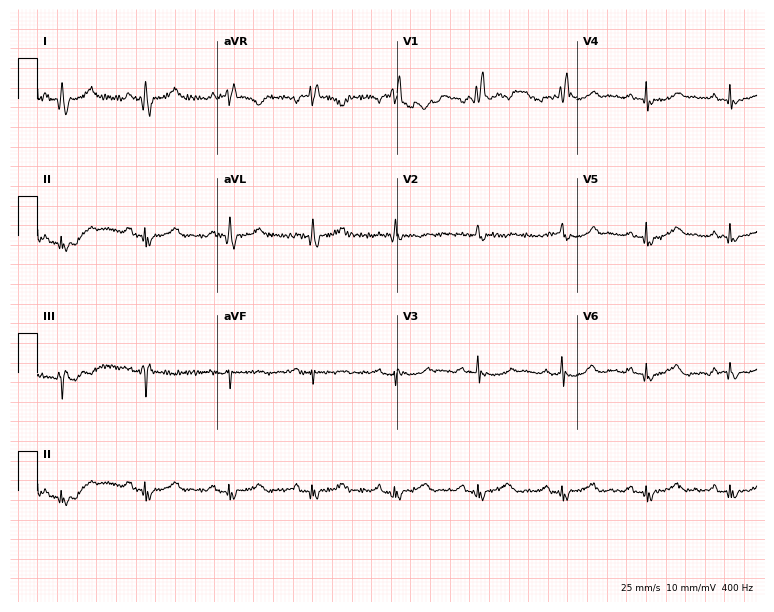
ECG (7.3-second recording at 400 Hz) — a 66-year-old woman. Findings include right bundle branch block (RBBB).